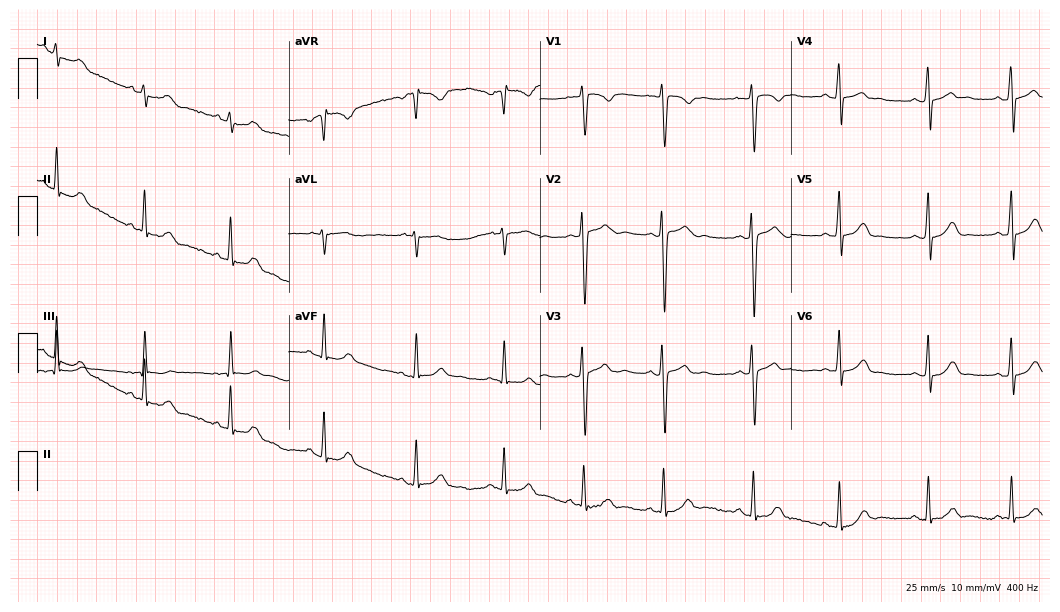
ECG — a woman, 21 years old. Labelled as a normal ECG.